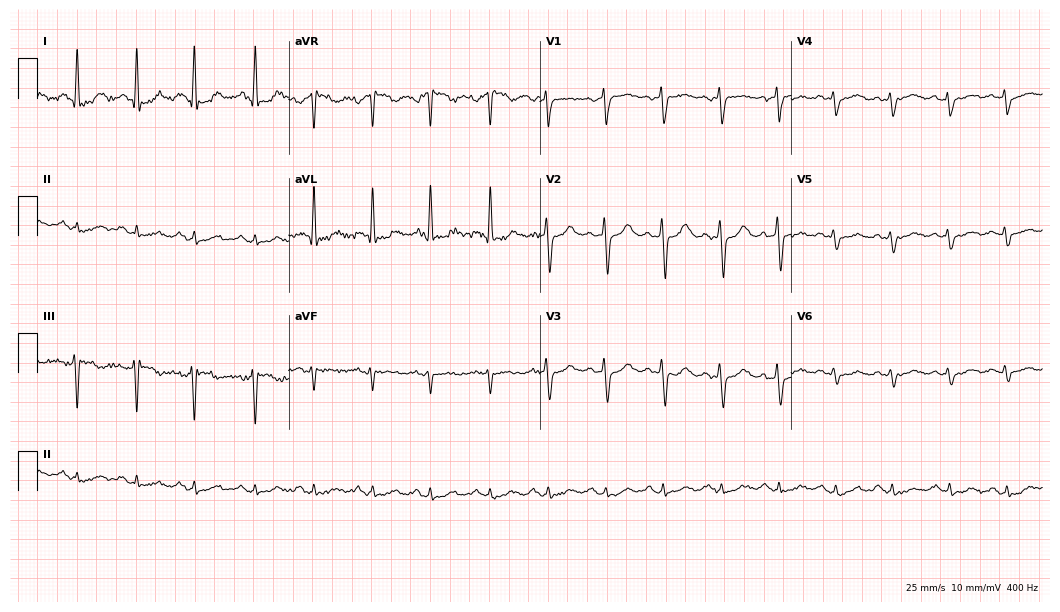
ECG — a 65-year-old woman. Findings include sinus tachycardia (a sinus rate of 100 beats per minute or more).